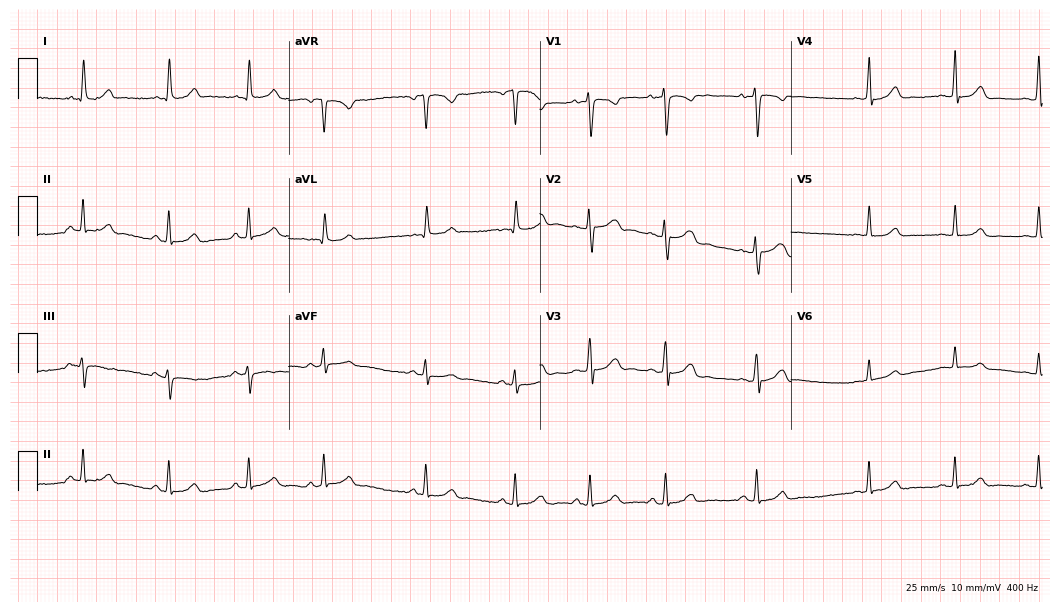
12-lead ECG from a woman, 23 years old (10.2-second recording at 400 Hz). No first-degree AV block, right bundle branch block (RBBB), left bundle branch block (LBBB), sinus bradycardia, atrial fibrillation (AF) or sinus tachycardia recorded for this tracing.